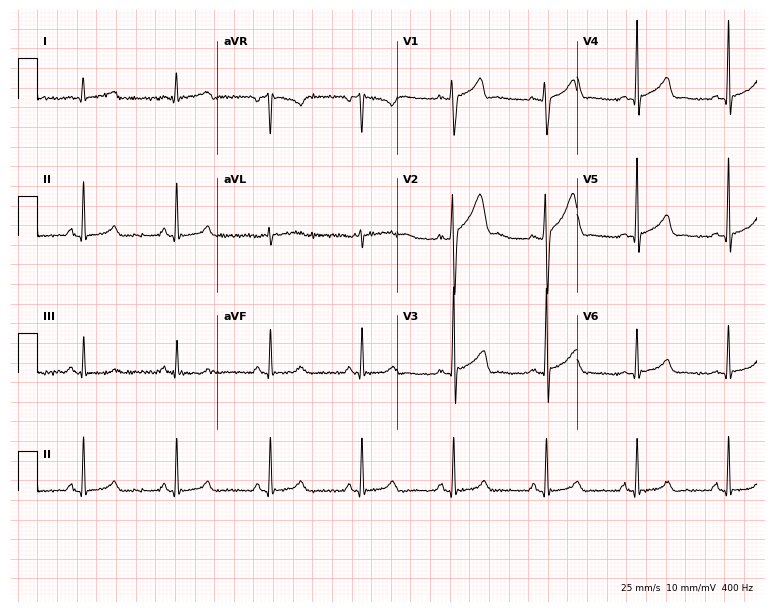
Resting 12-lead electrocardiogram. Patient: a 37-year-old male. Read as a normal ECG.